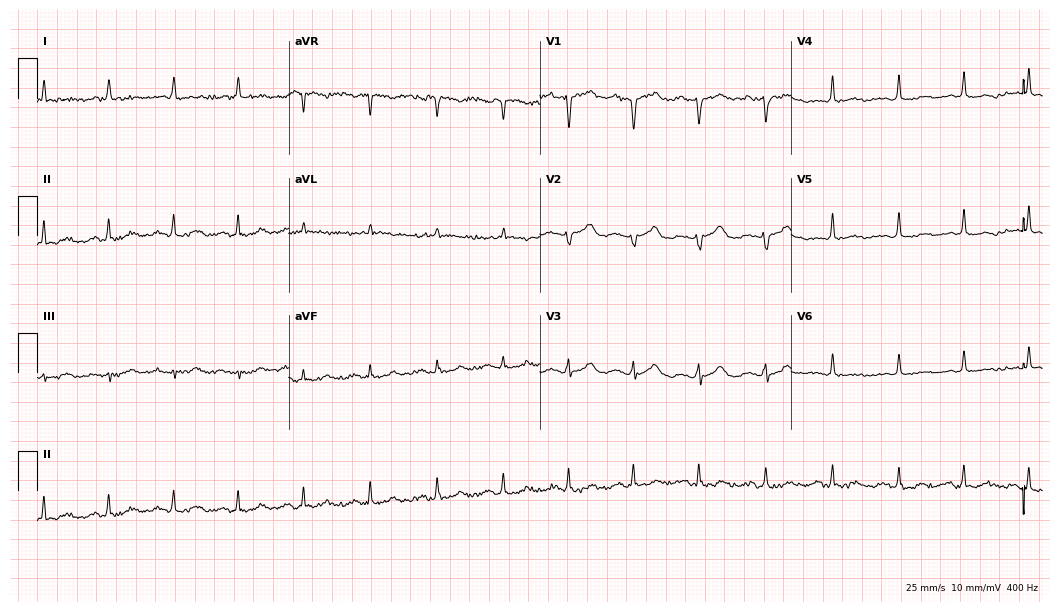
Electrocardiogram (10.2-second recording at 400 Hz), a male, 79 years old. Of the six screened findings (first-degree AV block, right bundle branch block, left bundle branch block, sinus bradycardia, atrial fibrillation, sinus tachycardia), none is recorded. Findings outside these six are not listed.